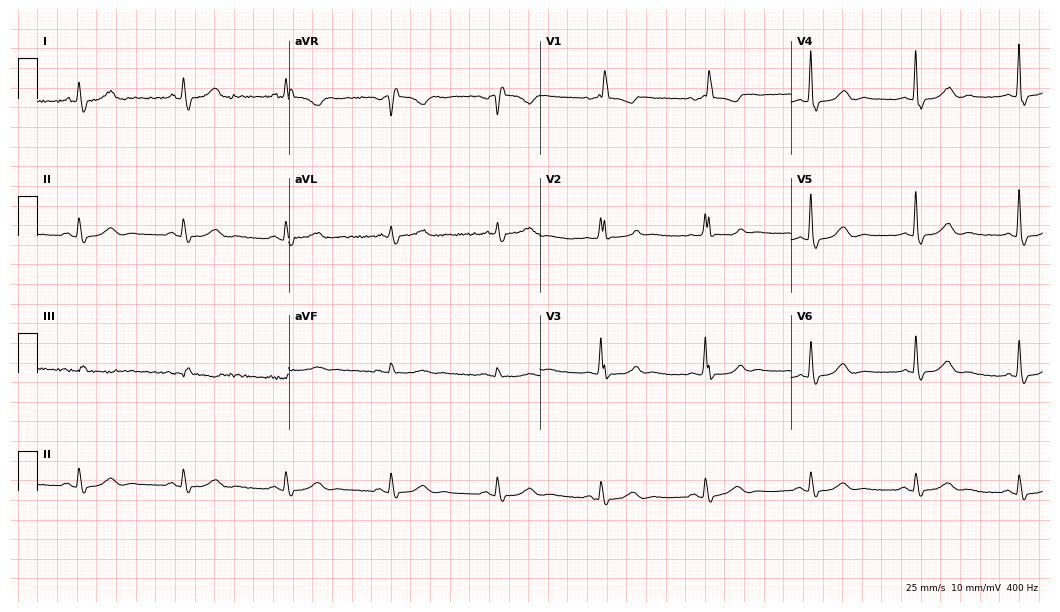
Electrocardiogram (10.2-second recording at 400 Hz), an 82-year-old female. Interpretation includes right bundle branch block.